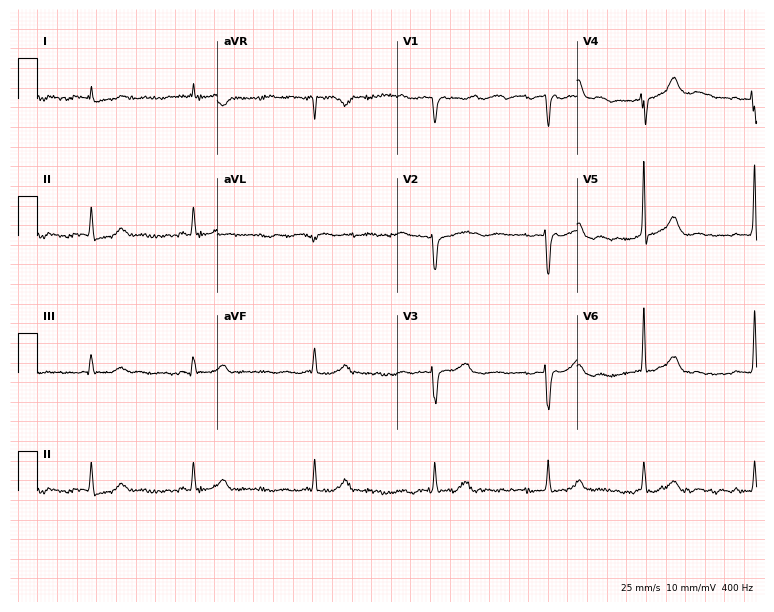
12-lead ECG from a 78-year-old female (7.3-second recording at 400 Hz). Shows atrial fibrillation (AF).